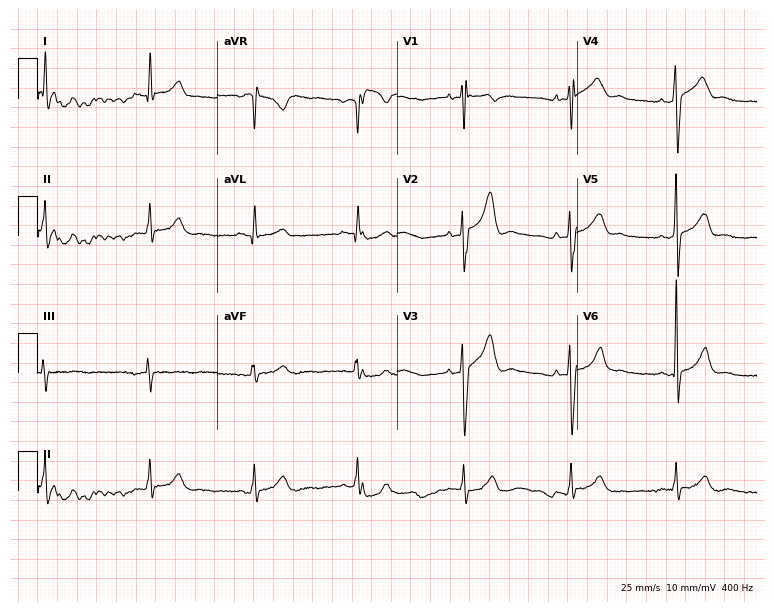
12-lead ECG from a male, 30 years old (7.3-second recording at 400 Hz). No first-degree AV block, right bundle branch block, left bundle branch block, sinus bradycardia, atrial fibrillation or sinus tachycardia recorded for this tracing. Other findings, if any, are not listed.